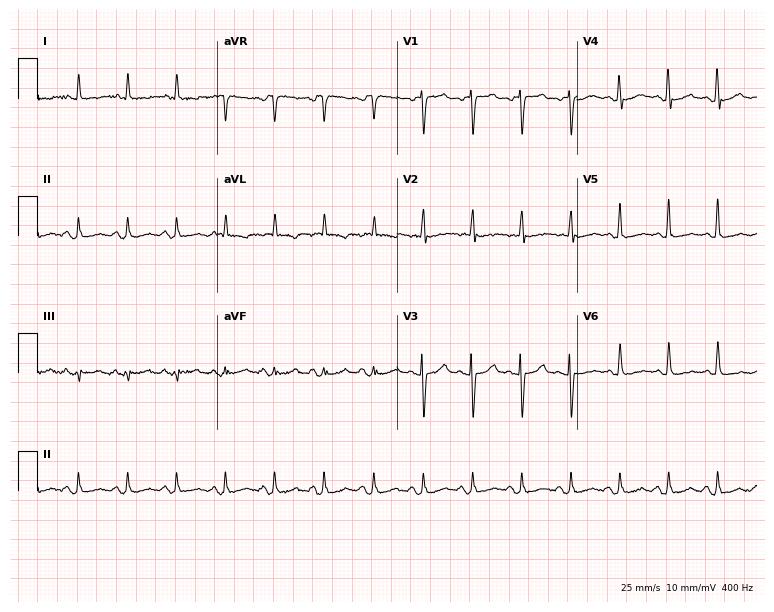
Resting 12-lead electrocardiogram (7.3-second recording at 400 Hz). Patient: a 51-year-old woman. The tracing shows sinus tachycardia (a sinus rate of 100 beats per minute or more).